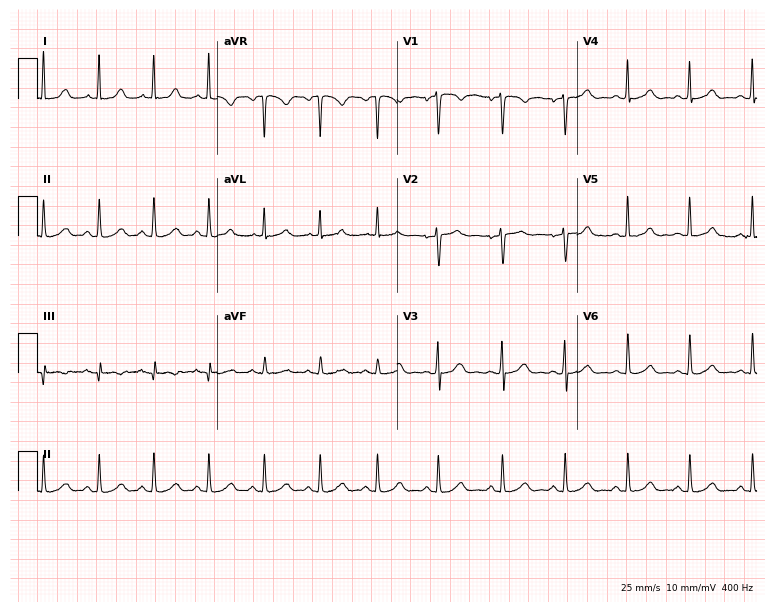
Resting 12-lead electrocardiogram (7.3-second recording at 400 Hz). Patient: a 29-year-old female. Read as a normal ECG.